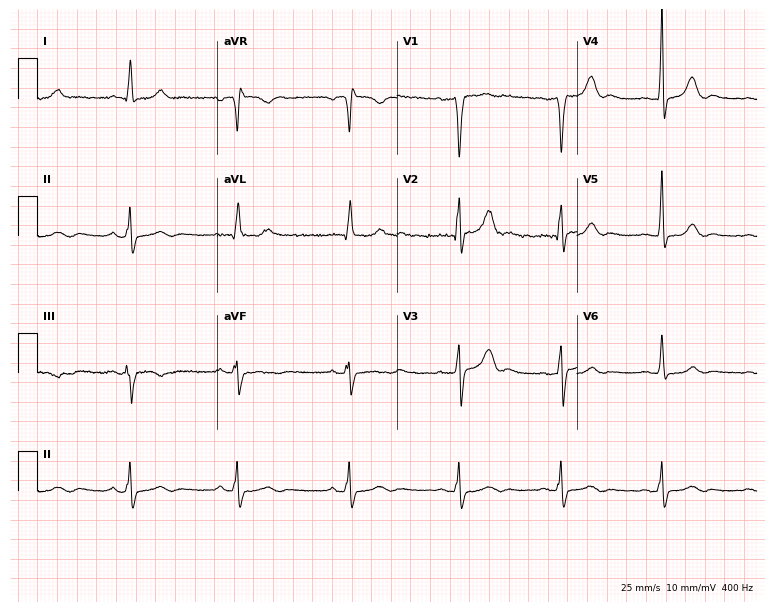
Resting 12-lead electrocardiogram. Patient: a male, 57 years old. None of these six findings is recorded: first-degree AV block, right bundle branch block (RBBB), left bundle branch block (LBBB), sinus bradycardia, atrial fibrillation (AF), sinus tachycardia.